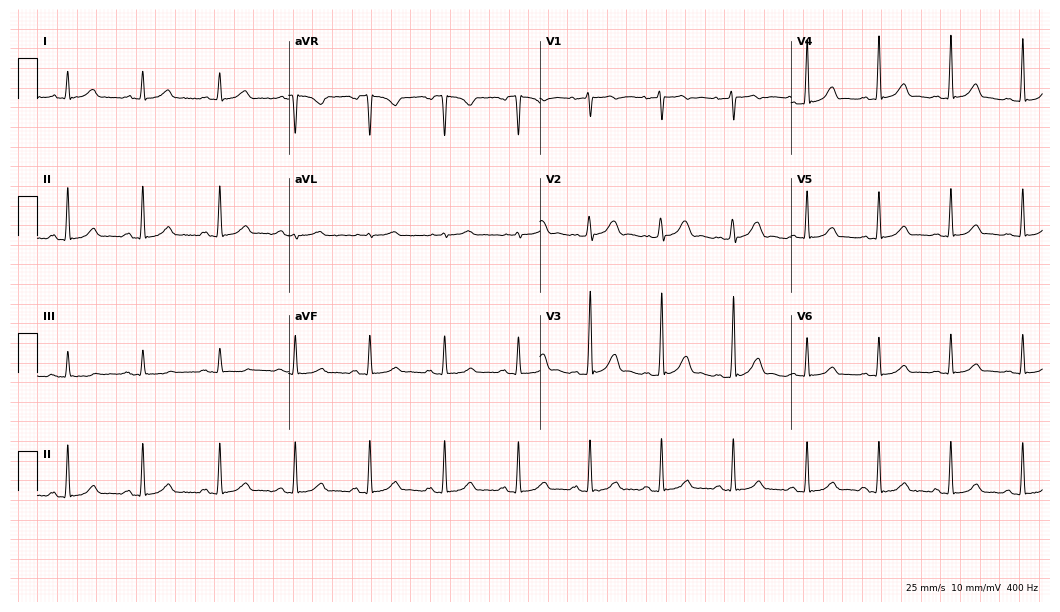
12-lead ECG from a woman, 30 years old. Recorded interpretation: within normal limits.